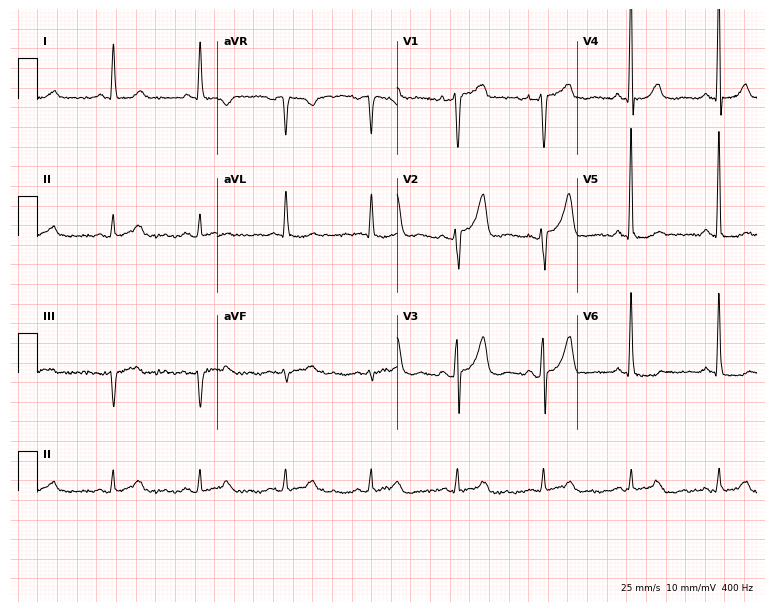
12-lead ECG (7.3-second recording at 400 Hz) from a 58-year-old man. Screened for six findings — first-degree AV block, right bundle branch block, left bundle branch block, sinus bradycardia, atrial fibrillation, sinus tachycardia — none is recorded.